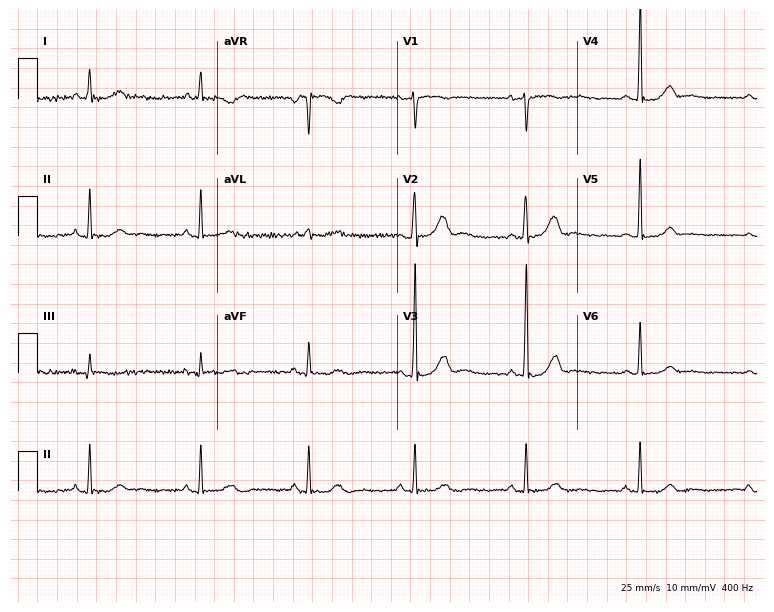
Standard 12-lead ECG recorded from a female, 54 years old. None of these six findings is recorded: first-degree AV block, right bundle branch block, left bundle branch block, sinus bradycardia, atrial fibrillation, sinus tachycardia.